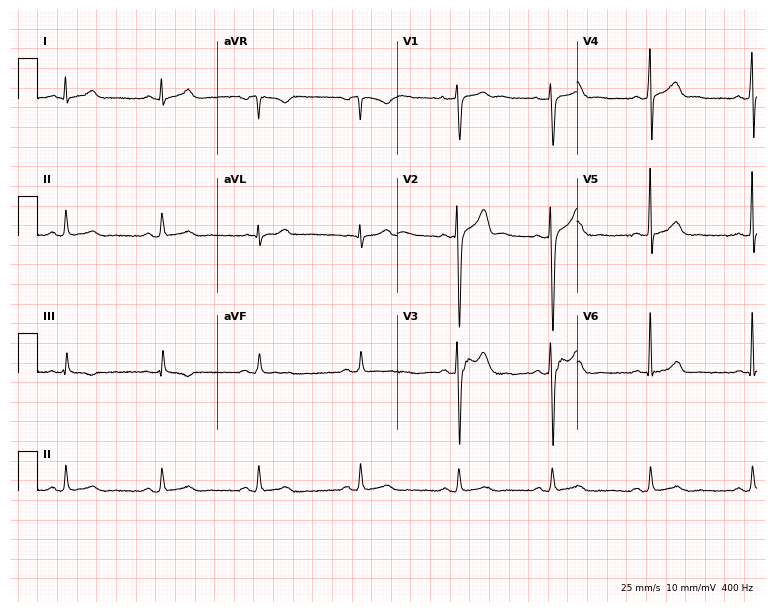
12-lead ECG from a 21-year-old male (7.3-second recording at 400 Hz). Recorded interpretation: within normal limits.